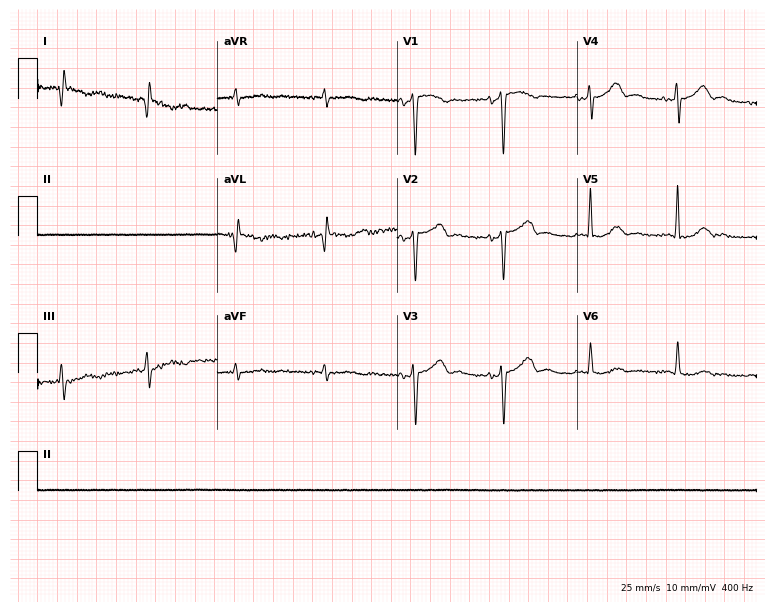
Electrocardiogram (7.3-second recording at 400 Hz), a 77-year-old woman. Of the six screened findings (first-degree AV block, right bundle branch block, left bundle branch block, sinus bradycardia, atrial fibrillation, sinus tachycardia), none is recorded.